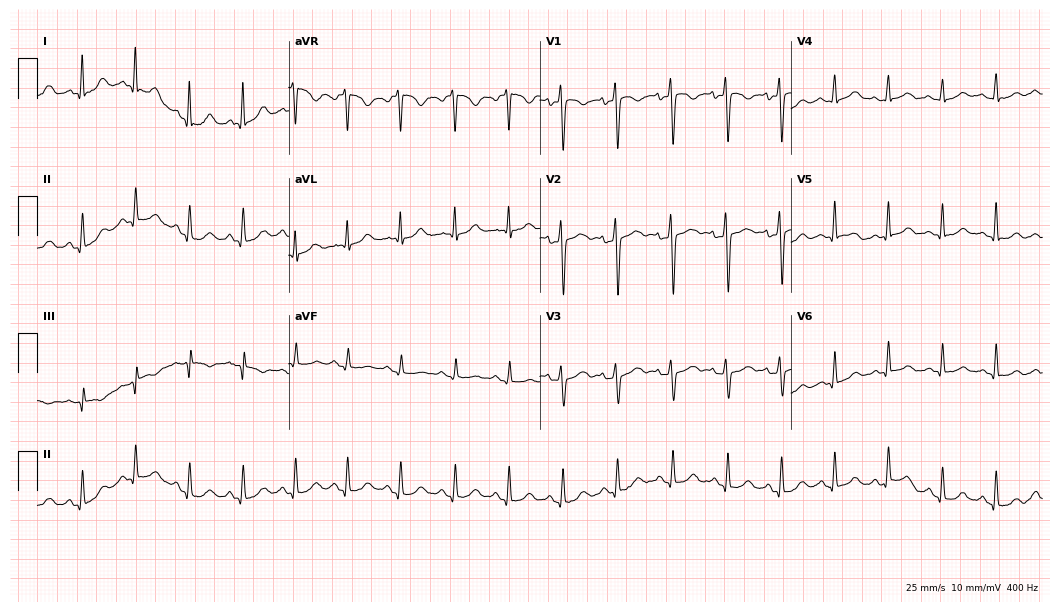
Electrocardiogram, a female patient, 34 years old. Of the six screened findings (first-degree AV block, right bundle branch block (RBBB), left bundle branch block (LBBB), sinus bradycardia, atrial fibrillation (AF), sinus tachycardia), none is recorded.